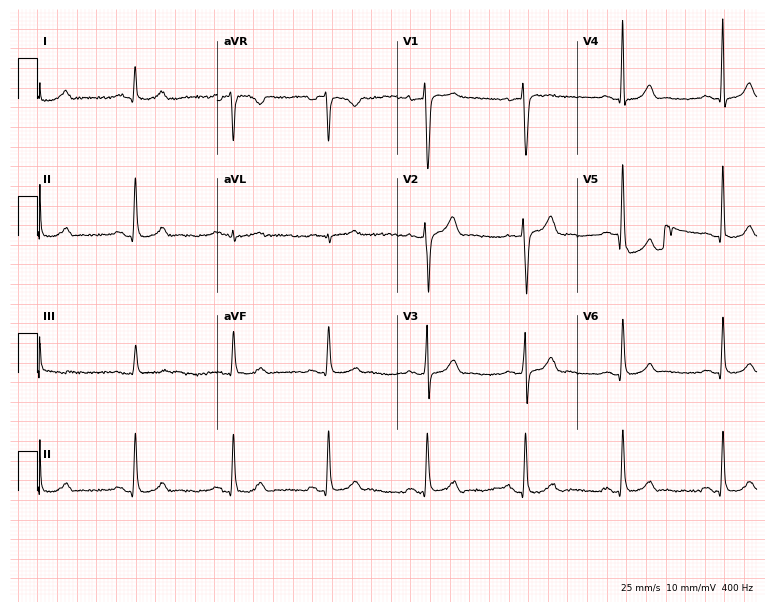
Standard 12-lead ECG recorded from a 42-year-old male (7.3-second recording at 400 Hz). Read as a normal ECG.